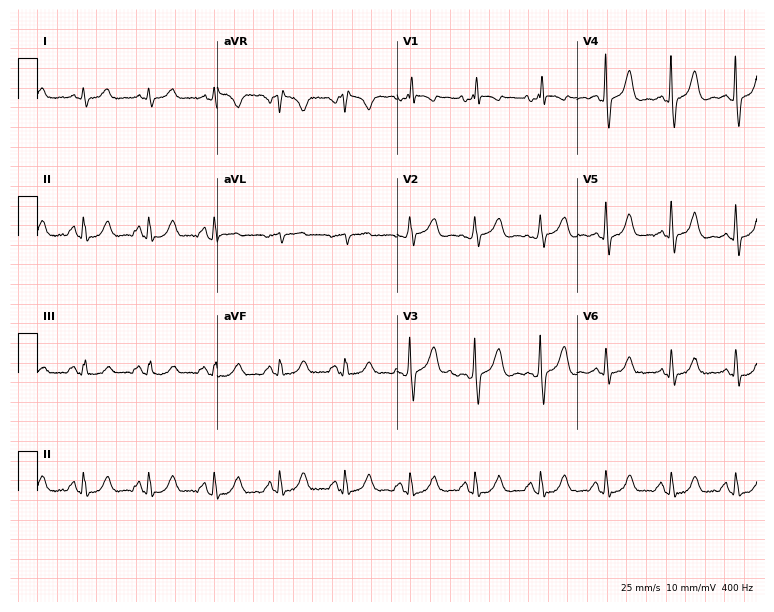
Resting 12-lead electrocardiogram. Patient: a 59-year-old male. None of these six findings is recorded: first-degree AV block, right bundle branch block (RBBB), left bundle branch block (LBBB), sinus bradycardia, atrial fibrillation (AF), sinus tachycardia. Other findings, if any, are not listed.